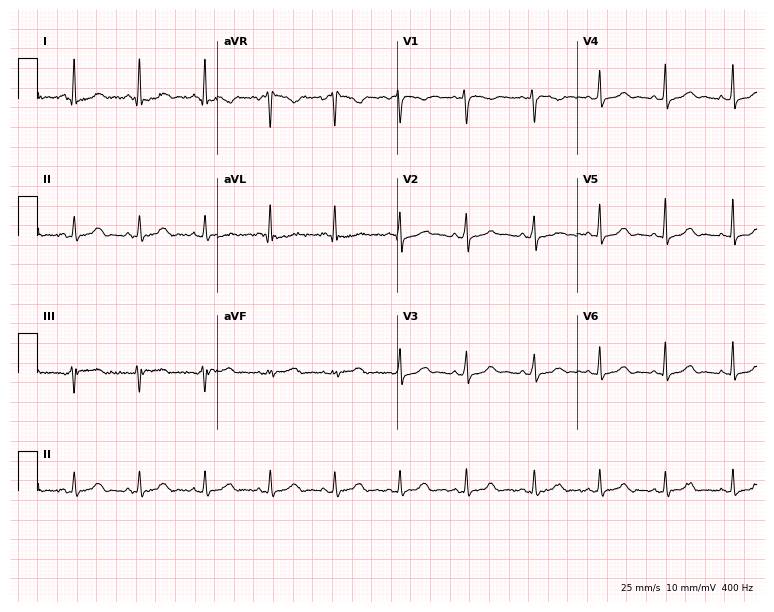
ECG — a female patient, 37 years old. Screened for six findings — first-degree AV block, right bundle branch block (RBBB), left bundle branch block (LBBB), sinus bradycardia, atrial fibrillation (AF), sinus tachycardia — none is recorded.